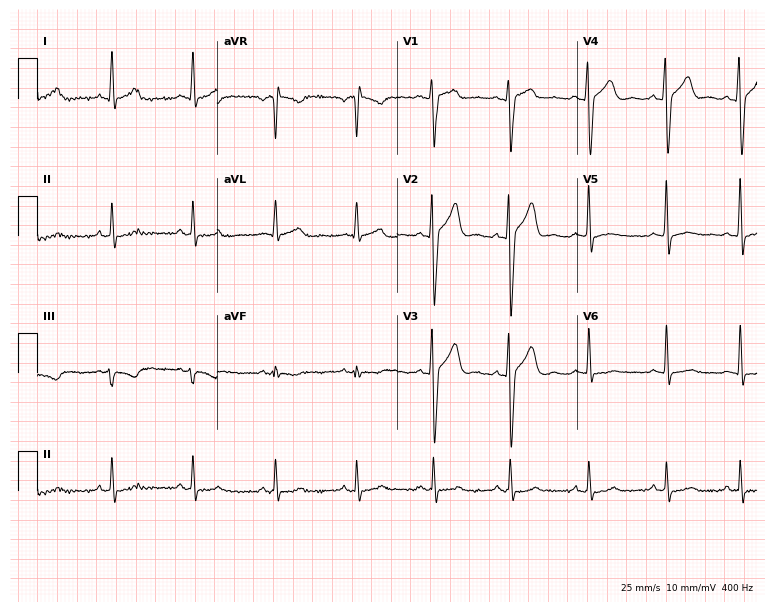
12-lead ECG from a 23-year-old man. No first-degree AV block, right bundle branch block, left bundle branch block, sinus bradycardia, atrial fibrillation or sinus tachycardia recorded for this tracing. Findings outside these six are not listed.